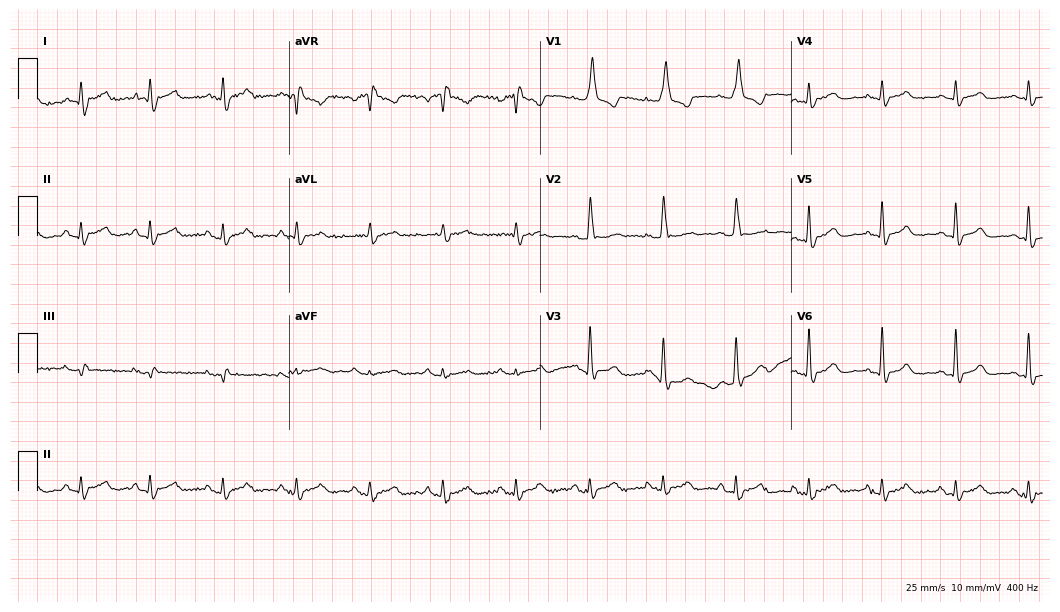
ECG (10.2-second recording at 400 Hz) — a male patient, 77 years old. Screened for six findings — first-degree AV block, right bundle branch block, left bundle branch block, sinus bradycardia, atrial fibrillation, sinus tachycardia — none is recorded. Only these six findings were labelled.